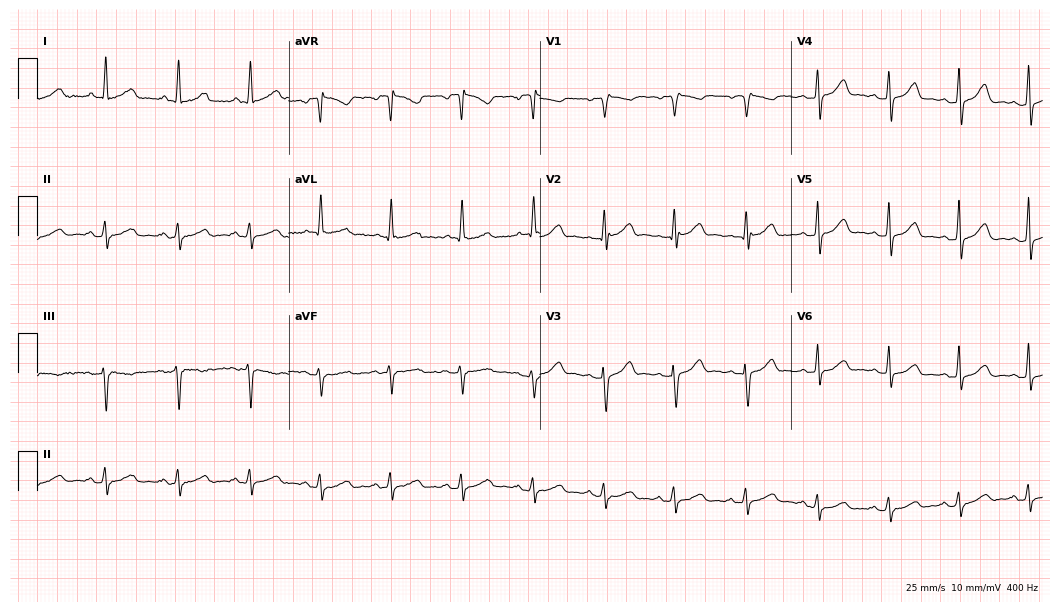
Standard 12-lead ECG recorded from a 58-year-old woman. Read as a normal ECG.